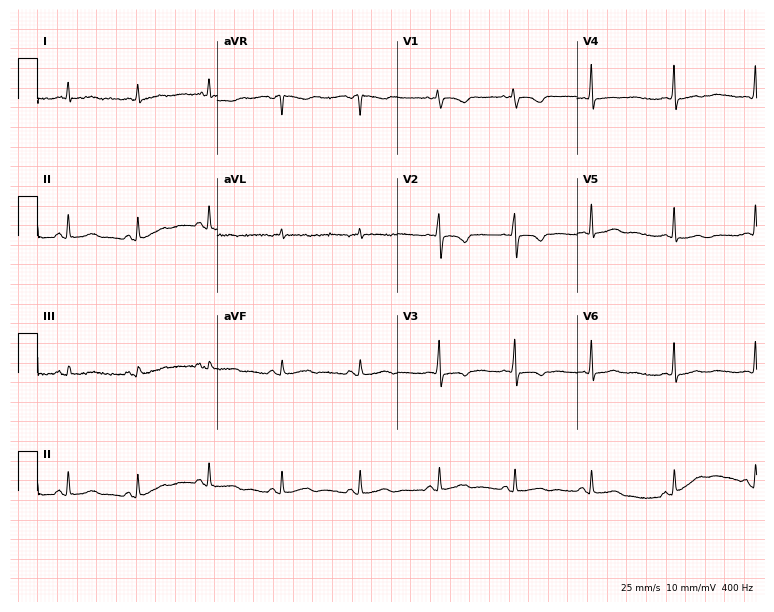
Resting 12-lead electrocardiogram. Patient: a female, 32 years old. None of these six findings is recorded: first-degree AV block, right bundle branch block, left bundle branch block, sinus bradycardia, atrial fibrillation, sinus tachycardia.